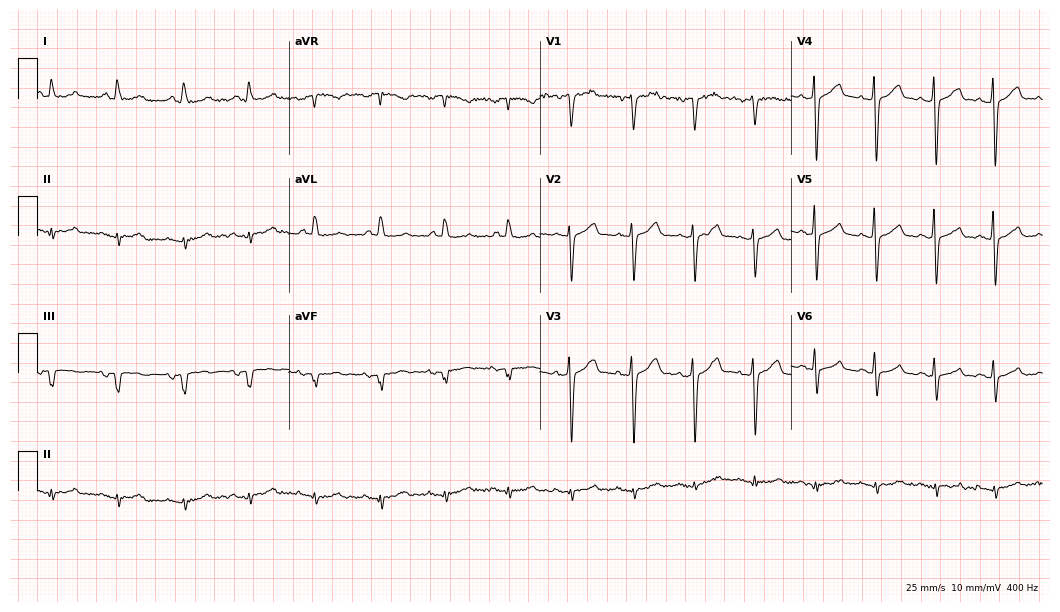
Electrocardiogram (10.2-second recording at 400 Hz), a 66-year-old male. Of the six screened findings (first-degree AV block, right bundle branch block (RBBB), left bundle branch block (LBBB), sinus bradycardia, atrial fibrillation (AF), sinus tachycardia), none is recorded.